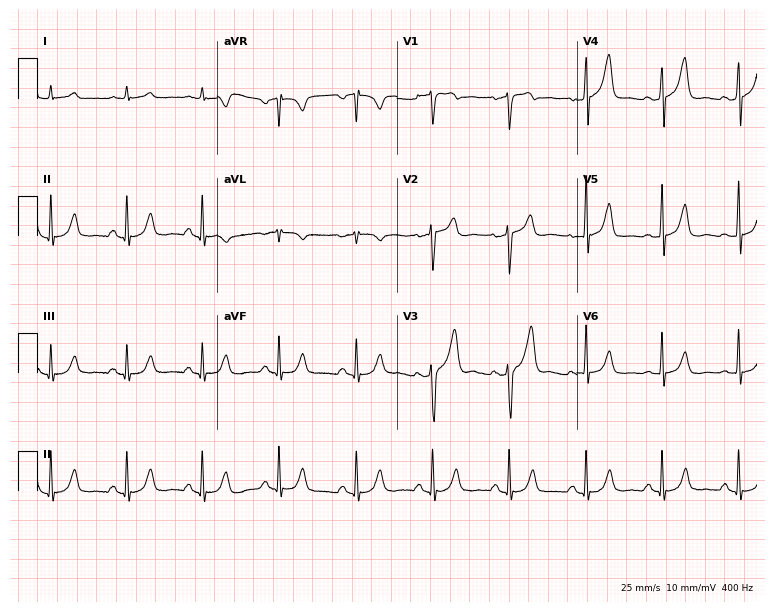
12-lead ECG from a male patient, 61 years old. No first-degree AV block, right bundle branch block, left bundle branch block, sinus bradycardia, atrial fibrillation or sinus tachycardia recorded for this tracing.